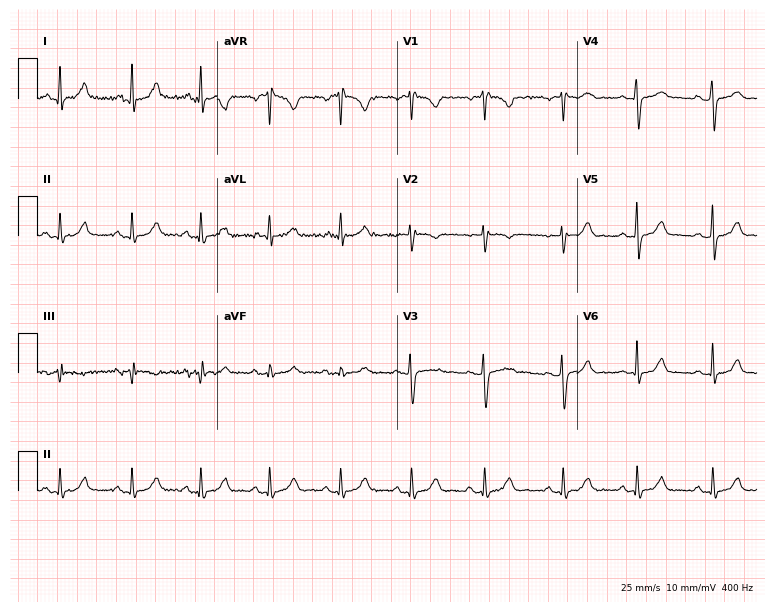
Electrocardiogram, a woman, 71 years old. Of the six screened findings (first-degree AV block, right bundle branch block, left bundle branch block, sinus bradycardia, atrial fibrillation, sinus tachycardia), none is recorded.